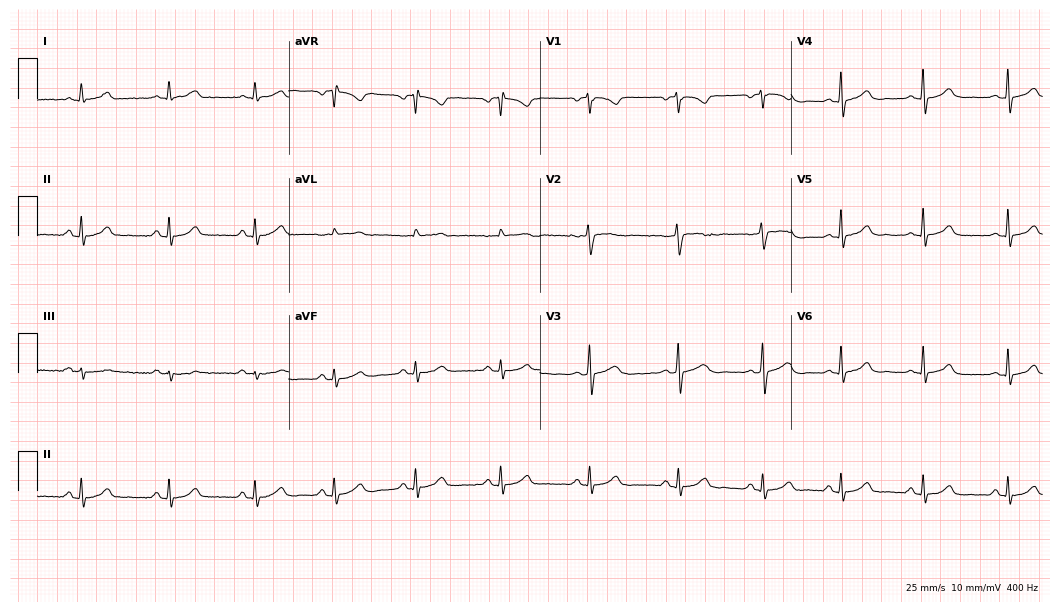
ECG (10.2-second recording at 400 Hz) — a woman, 28 years old. Labelled as a normal ECG.